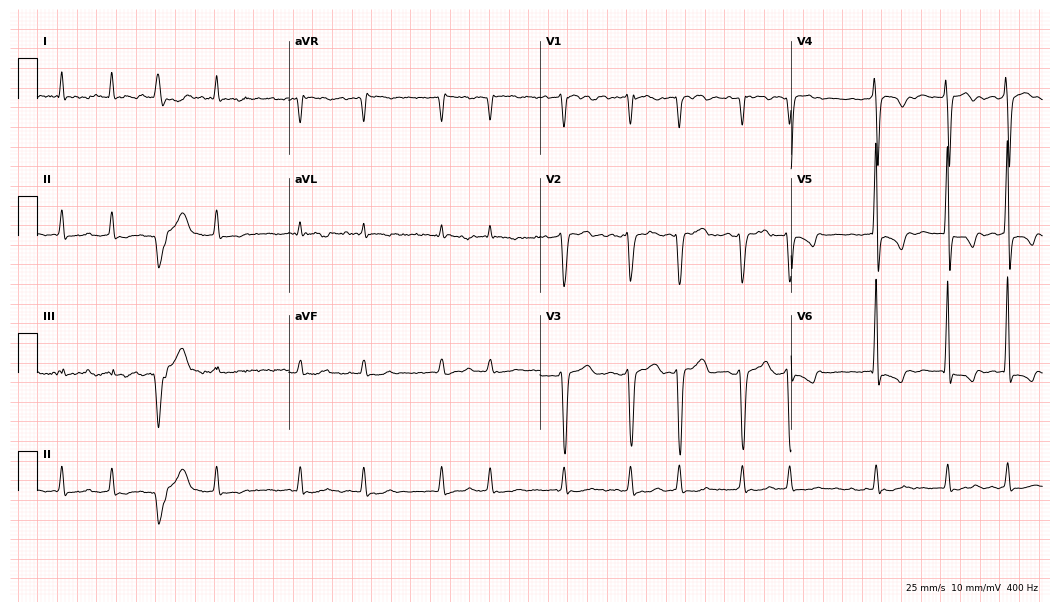
12-lead ECG from an 85-year-old male. Findings include atrial fibrillation.